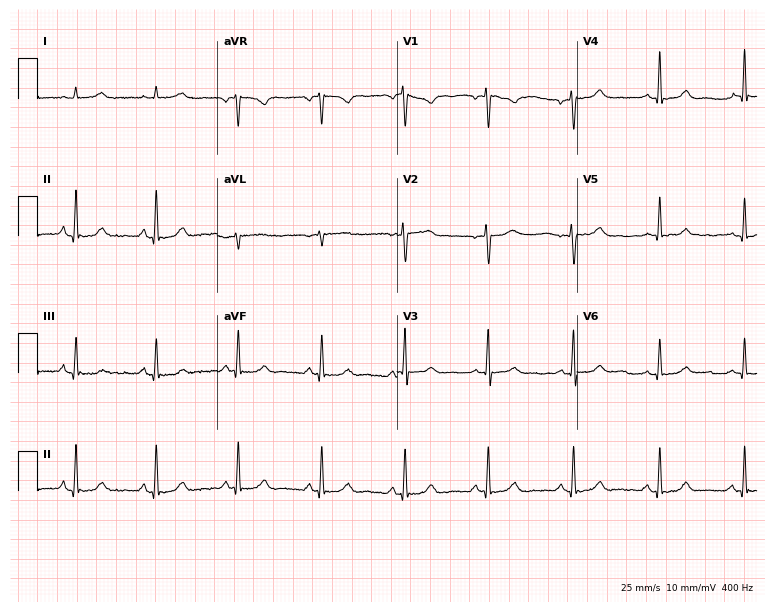
Resting 12-lead electrocardiogram (7.3-second recording at 400 Hz). Patient: a 46-year-old female. Read as a normal ECG.